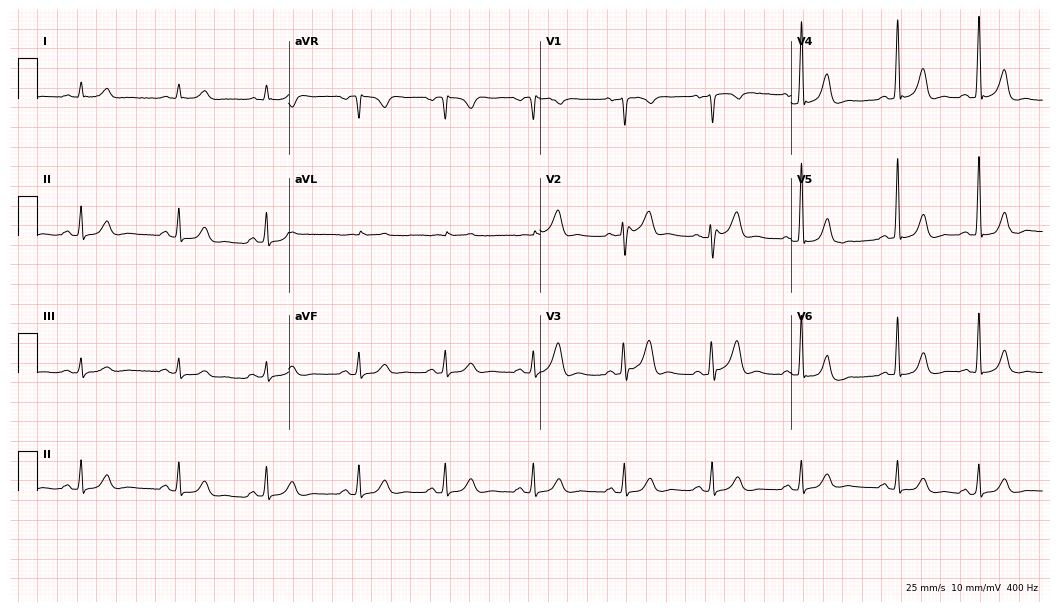
12-lead ECG from a 76-year-old male. Labelled as a normal ECG.